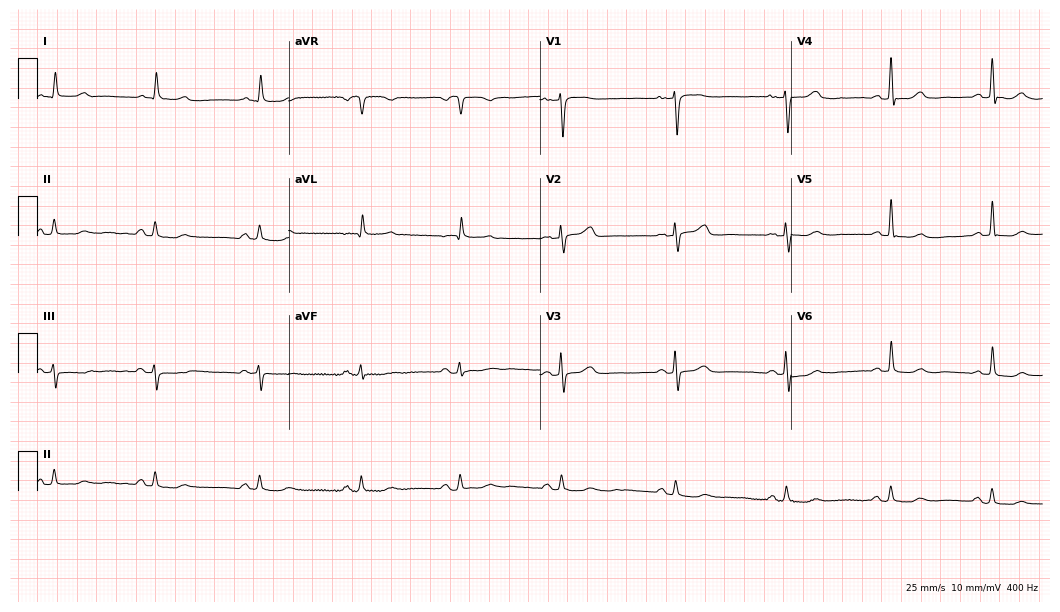
Standard 12-lead ECG recorded from a female patient, 78 years old (10.2-second recording at 400 Hz). Read as a normal ECG.